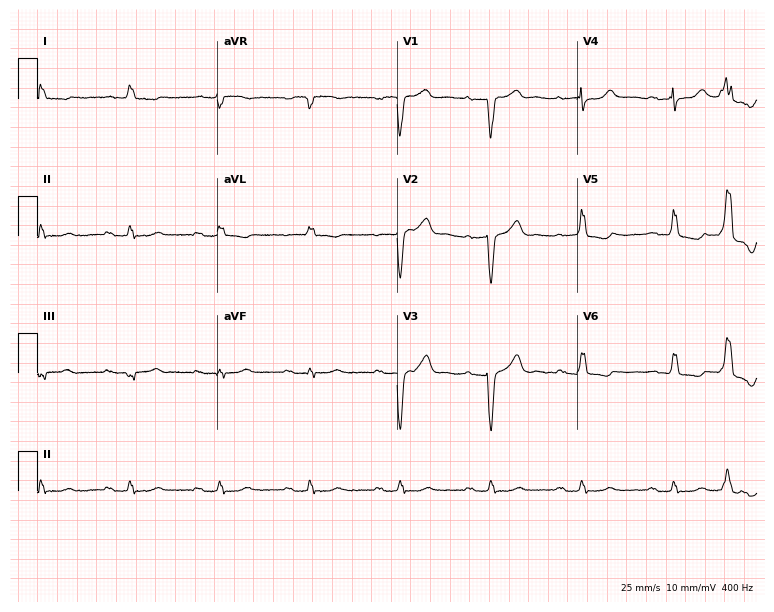
Standard 12-lead ECG recorded from an 85-year-old female (7.3-second recording at 400 Hz). The tracing shows first-degree AV block.